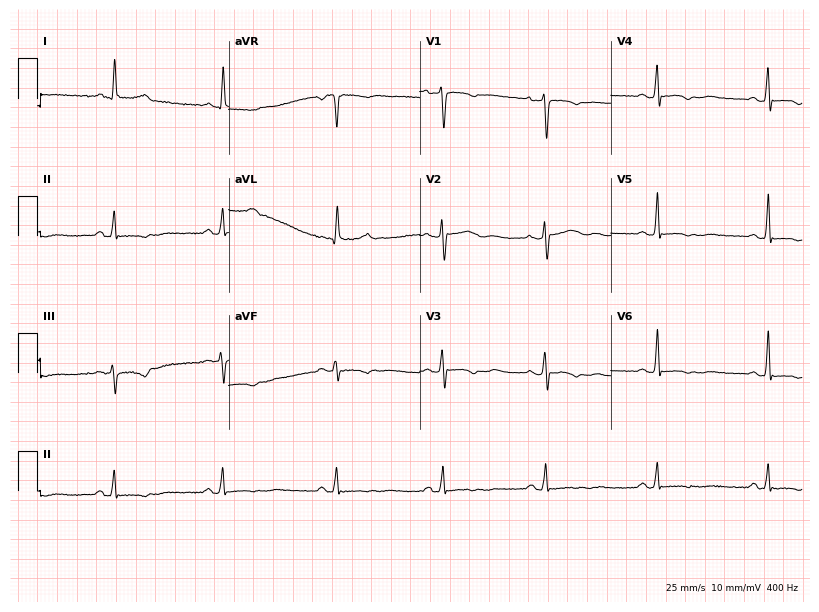
ECG (7.8-second recording at 400 Hz) — a female, 59 years old. Screened for six findings — first-degree AV block, right bundle branch block, left bundle branch block, sinus bradycardia, atrial fibrillation, sinus tachycardia — none is recorded. Other findings, if any, are not listed.